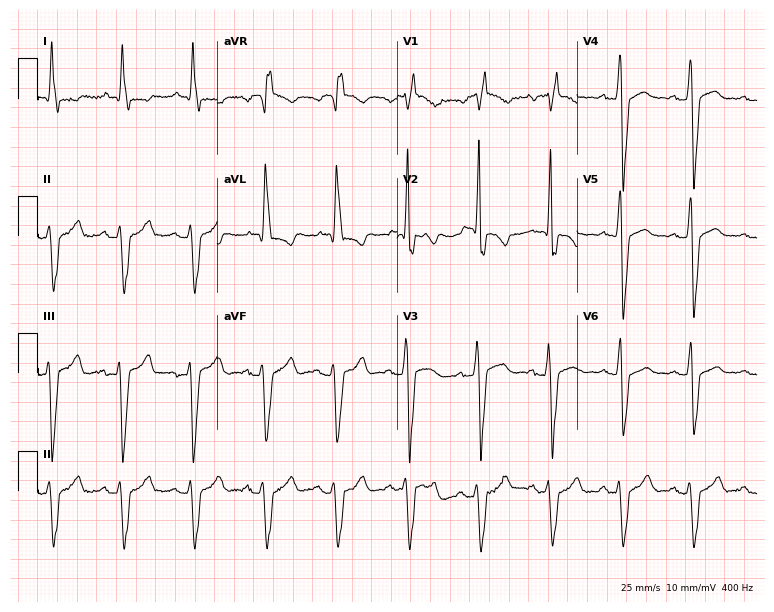
Resting 12-lead electrocardiogram. Patient: a male, 70 years old. The tracing shows right bundle branch block.